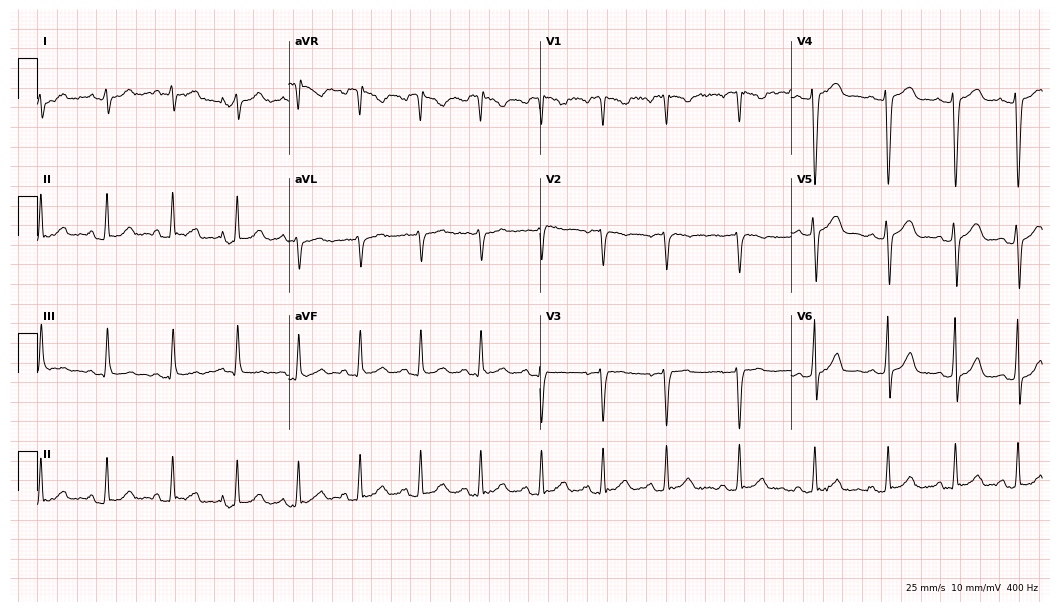
Electrocardiogram, a 21-year-old male patient. Of the six screened findings (first-degree AV block, right bundle branch block (RBBB), left bundle branch block (LBBB), sinus bradycardia, atrial fibrillation (AF), sinus tachycardia), none is recorded.